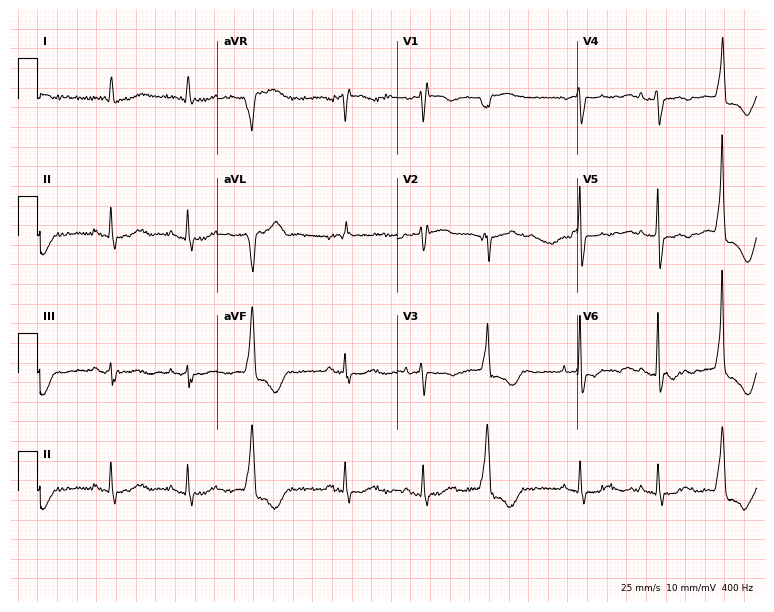
Resting 12-lead electrocardiogram. Patient: a female, 71 years old. None of these six findings is recorded: first-degree AV block, right bundle branch block, left bundle branch block, sinus bradycardia, atrial fibrillation, sinus tachycardia.